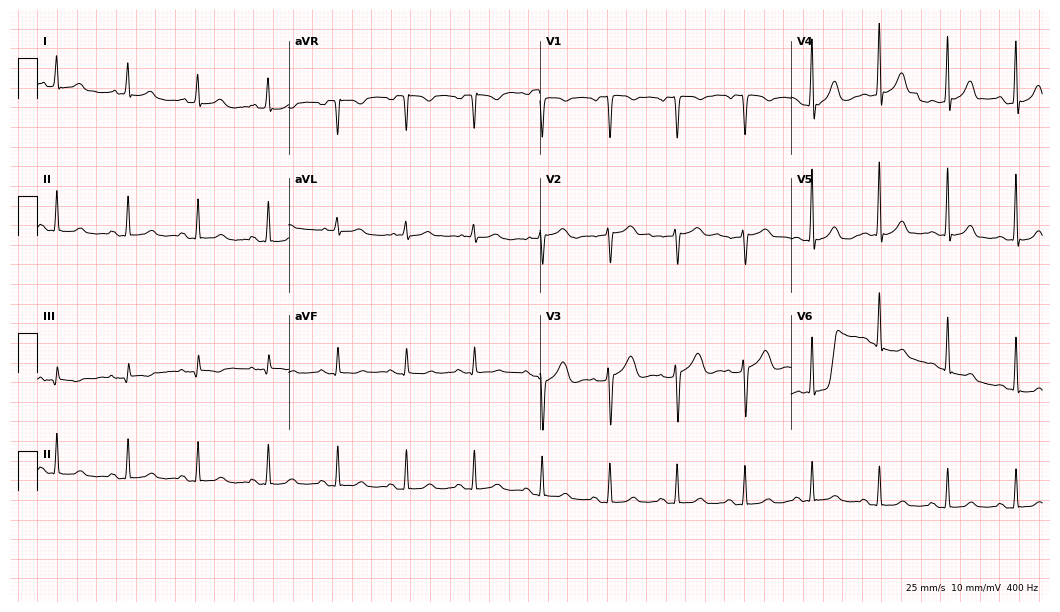
12-lead ECG from a female patient, 41 years old. Labelled as a normal ECG.